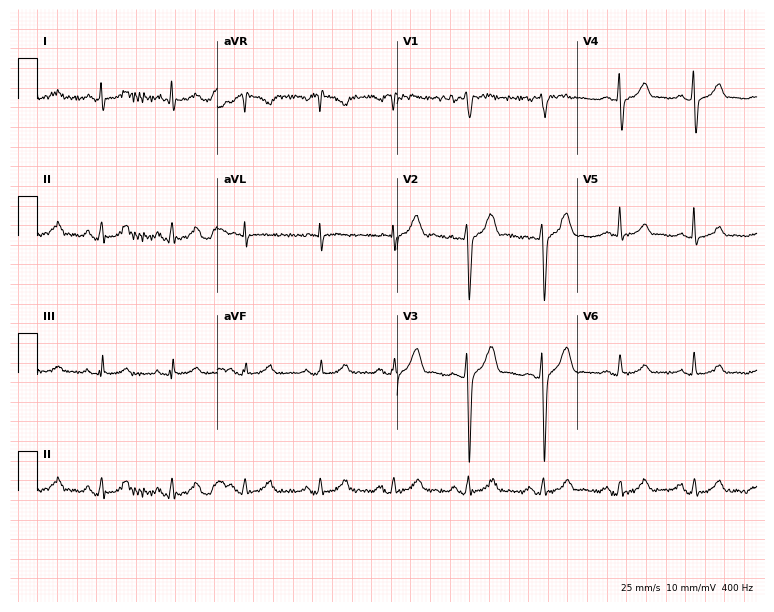
12-lead ECG from a male patient, 32 years old (7.3-second recording at 400 Hz). No first-degree AV block, right bundle branch block, left bundle branch block, sinus bradycardia, atrial fibrillation or sinus tachycardia recorded for this tracing. Other findings, if any, are not listed.